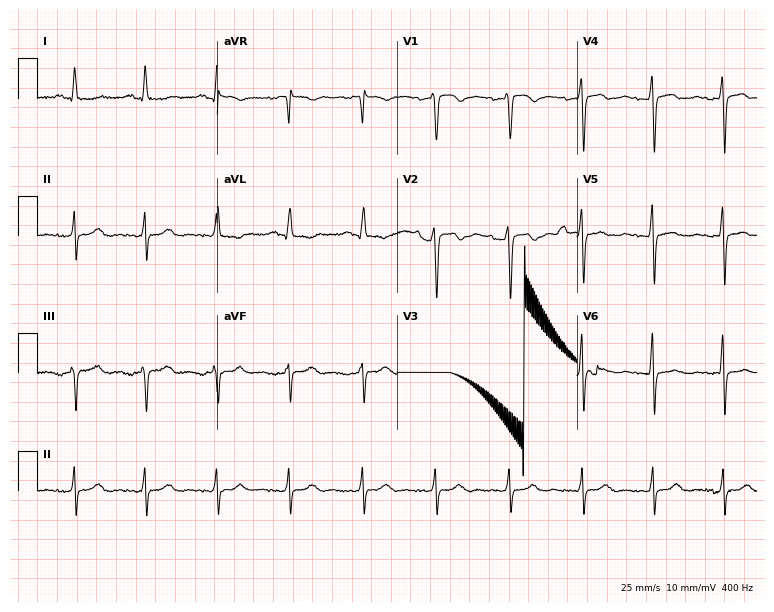
Resting 12-lead electrocardiogram (7.3-second recording at 400 Hz). Patient: a female, 46 years old. None of these six findings is recorded: first-degree AV block, right bundle branch block (RBBB), left bundle branch block (LBBB), sinus bradycardia, atrial fibrillation (AF), sinus tachycardia. Only these six findings were labelled.